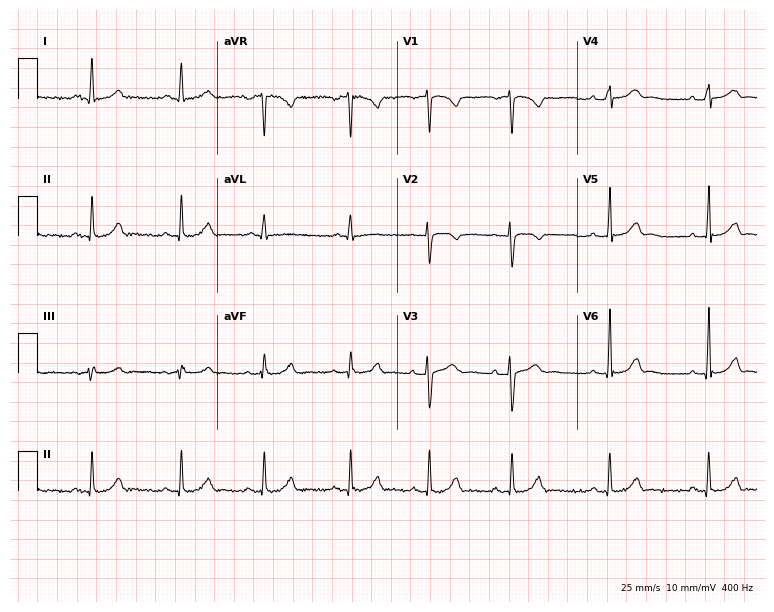
12-lead ECG (7.3-second recording at 400 Hz) from a female, 23 years old. Labelled as a normal ECG.